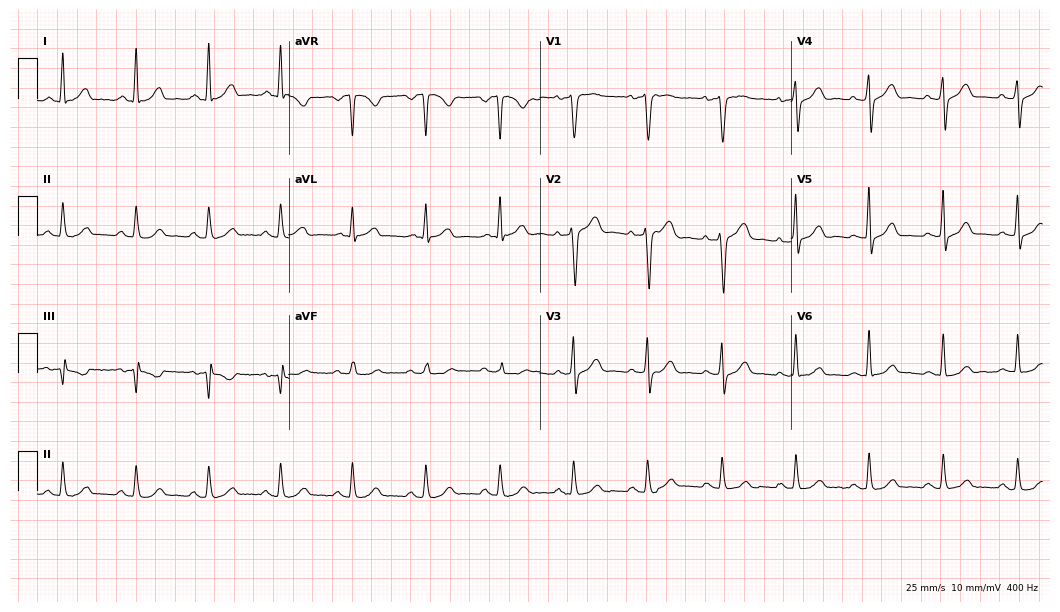
ECG (10.2-second recording at 400 Hz) — a 42-year-old female. Labelled as a normal ECG.